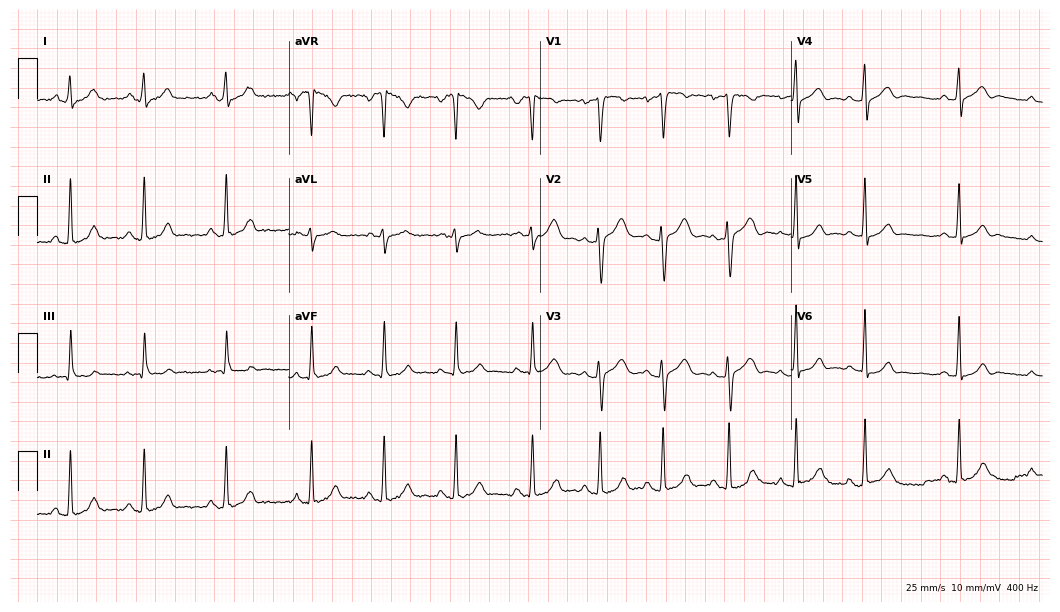
Electrocardiogram (10.2-second recording at 400 Hz), a woman, 18 years old. Overall reading on record: normal ECG.